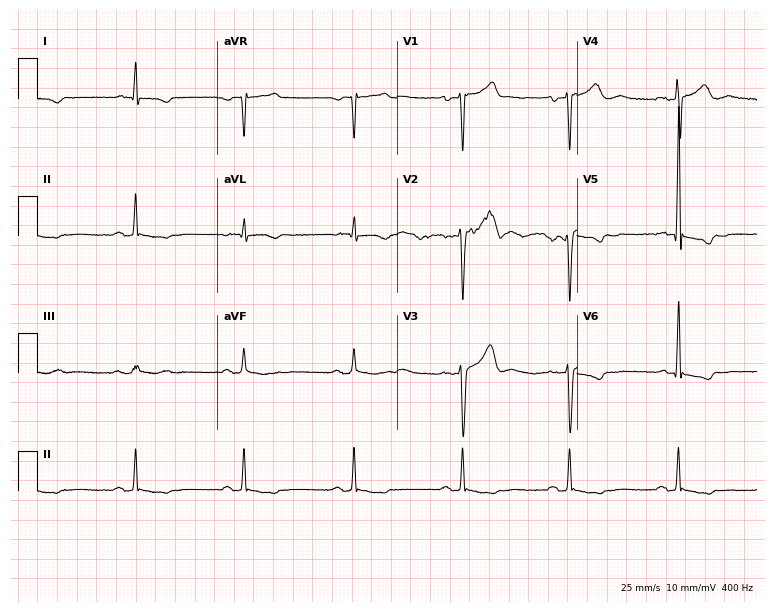
12-lead ECG from a man, 54 years old. No first-degree AV block, right bundle branch block, left bundle branch block, sinus bradycardia, atrial fibrillation or sinus tachycardia recorded for this tracing. Only these six findings were labelled.